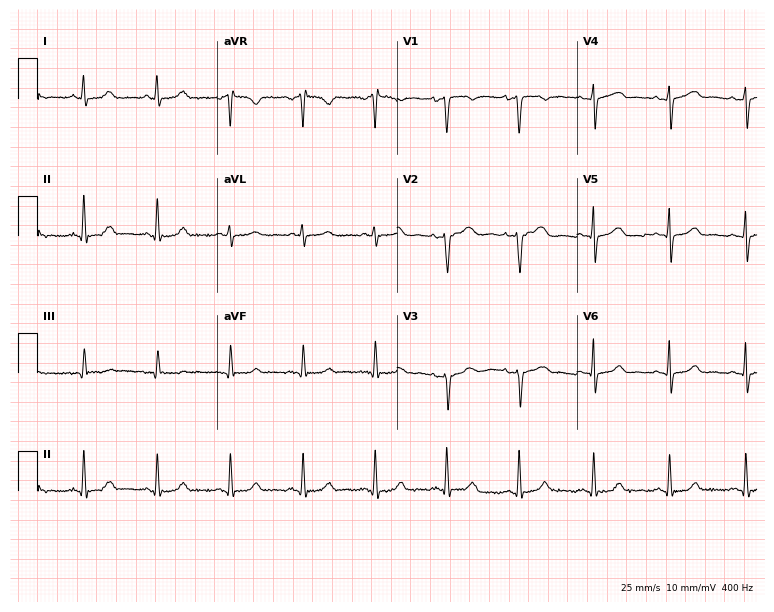
12-lead ECG from a female, 58 years old. No first-degree AV block, right bundle branch block (RBBB), left bundle branch block (LBBB), sinus bradycardia, atrial fibrillation (AF) or sinus tachycardia recorded for this tracing. Findings outside these six are not listed.